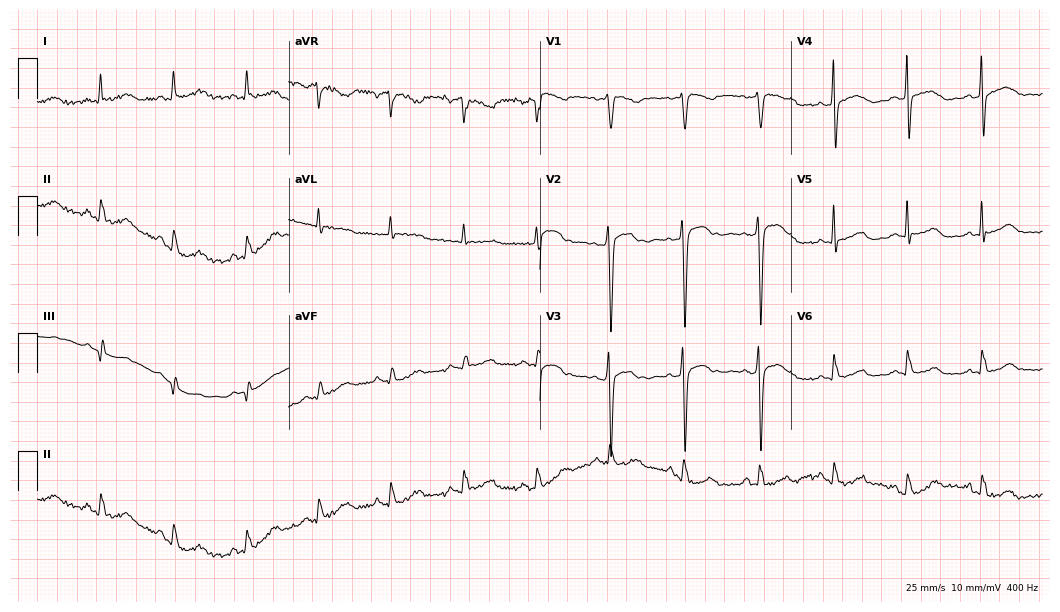
Standard 12-lead ECG recorded from a 56-year-old female. None of these six findings is recorded: first-degree AV block, right bundle branch block, left bundle branch block, sinus bradycardia, atrial fibrillation, sinus tachycardia.